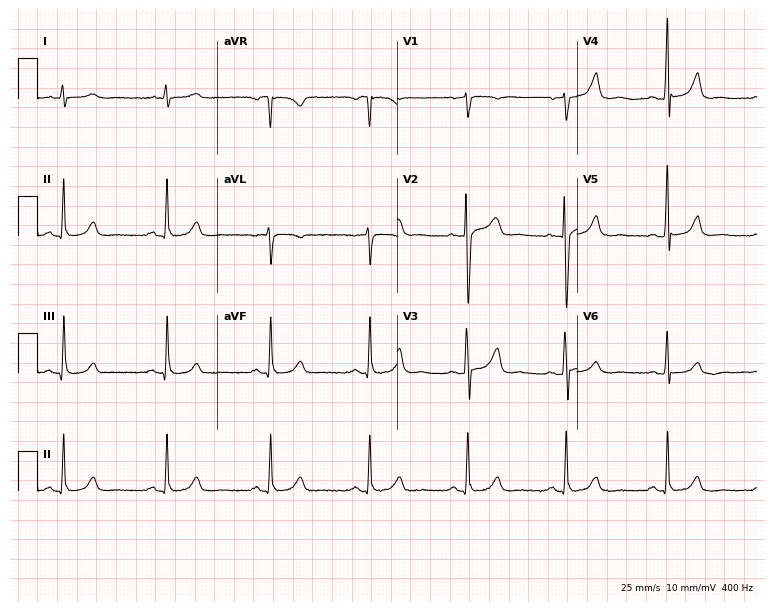
12-lead ECG from a male patient, 54 years old (7.3-second recording at 400 Hz). Recorded interpretation: within normal limits.